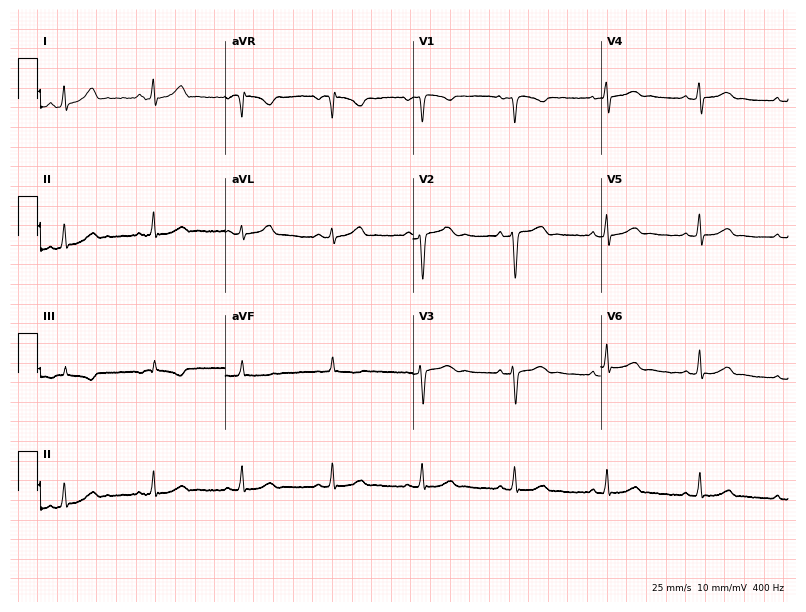
Standard 12-lead ECG recorded from a woman, 34 years old. Read as a normal ECG.